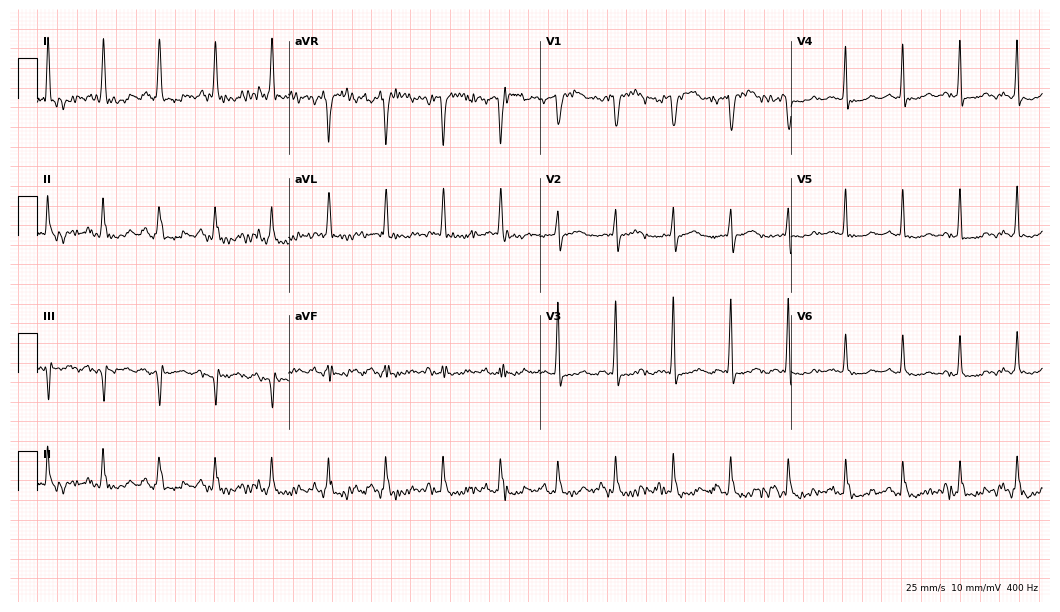
Resting 12-lead electrocardiogram. Patient: a 77-year-old female. The tracing shows sinus tachycardia (a sinus rate of 100 beats per minute or more).